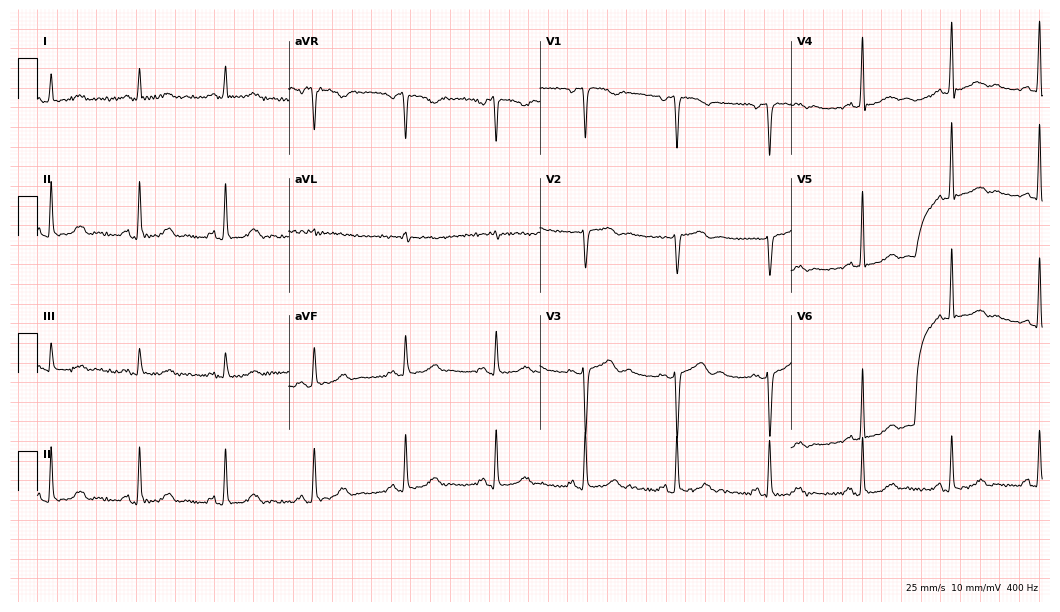
Resting 12-lead electrocardiogram. Patient: a woman, 54 years old. Read as a normal ECG.